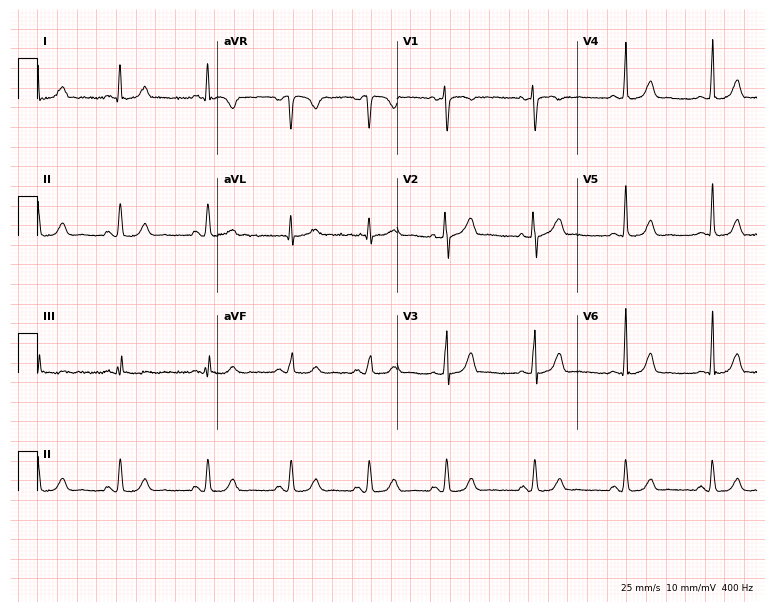
Standard 12-lead ECG recorded from a female, 32 years old. Read as a normal ECG.